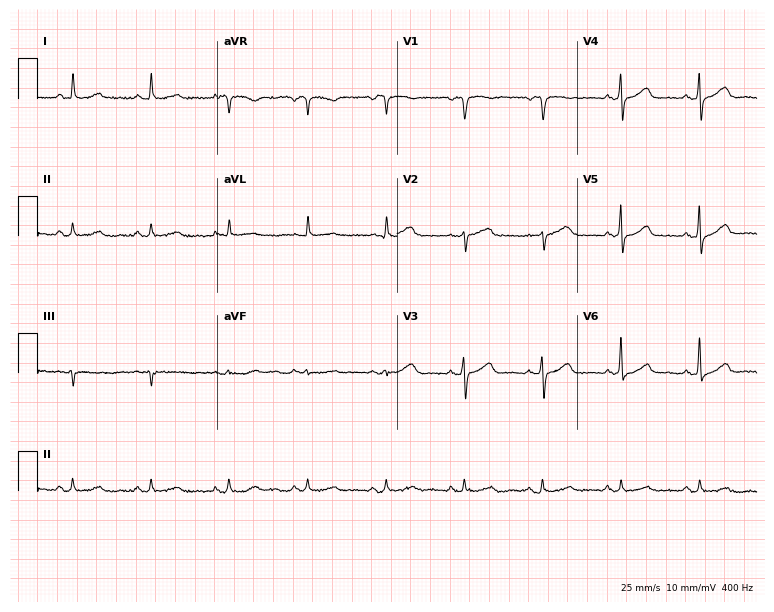
Standard 12-lead ECG recorded from a 63-year-old male patient. None of these six findings is recorded: first-degree AV block, right bundle branch block, left bundle branch block, sinus bradycardia, atrial fibrillation, sinus tachycardia. Findings outside these six are not listed.